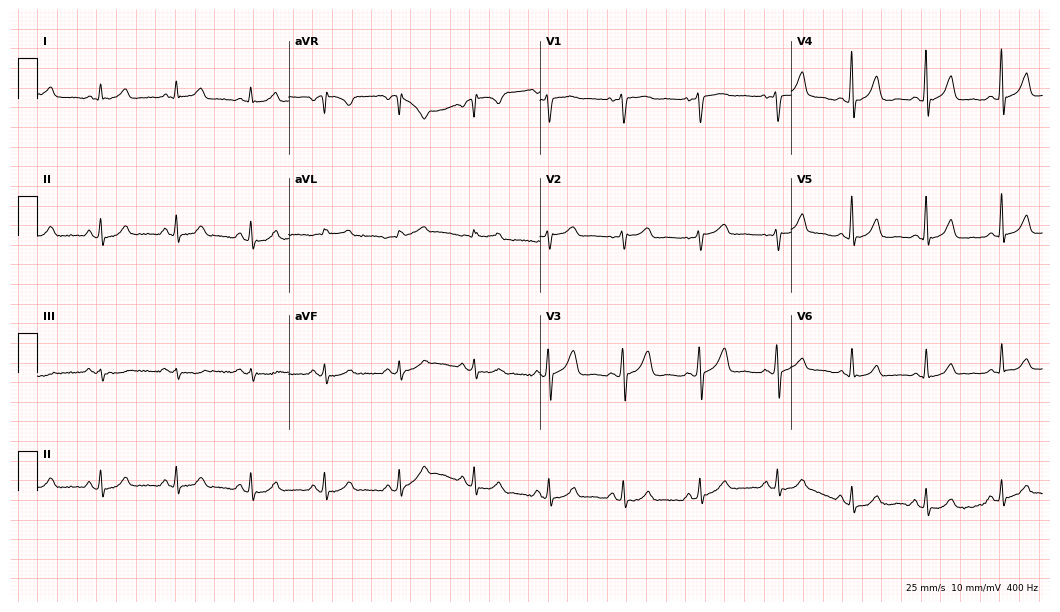
12-lead ECG from a female, 49 years old (10.2-second recording at 400 Hz). Recorded interpretation: within normal limits.